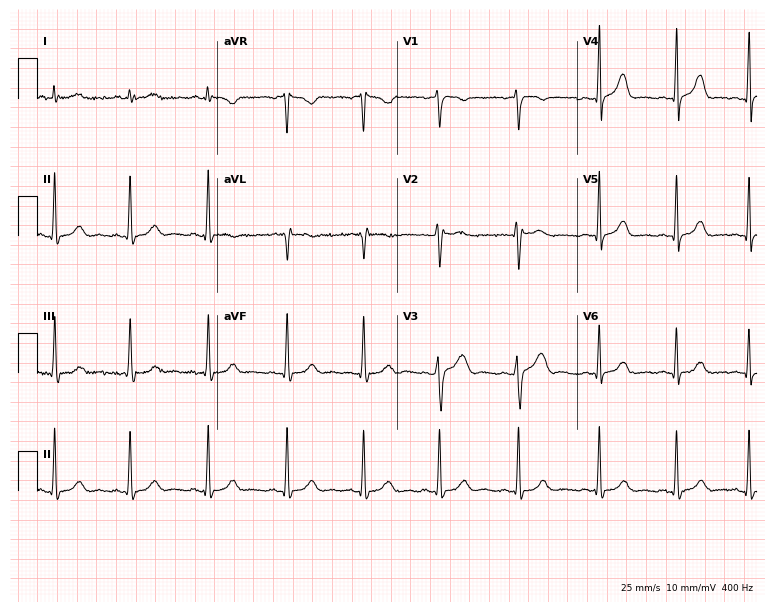
Electrocardiogram, a woman, 27 years old. Overall reading on record: normal ECG.